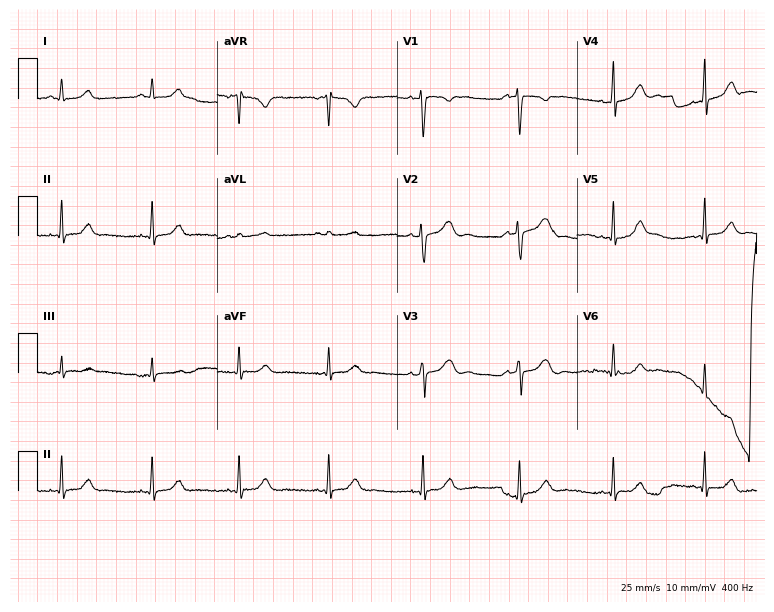
Electrocardiogram, a 29-year-old female. Of the six screened findings (first-degree AV block, right bundle branch block (RBBB), left bundle branch block (LBBB), sinus bradycardia, atrial fibrillation (AF), sinus tachycardia), none is recorded.